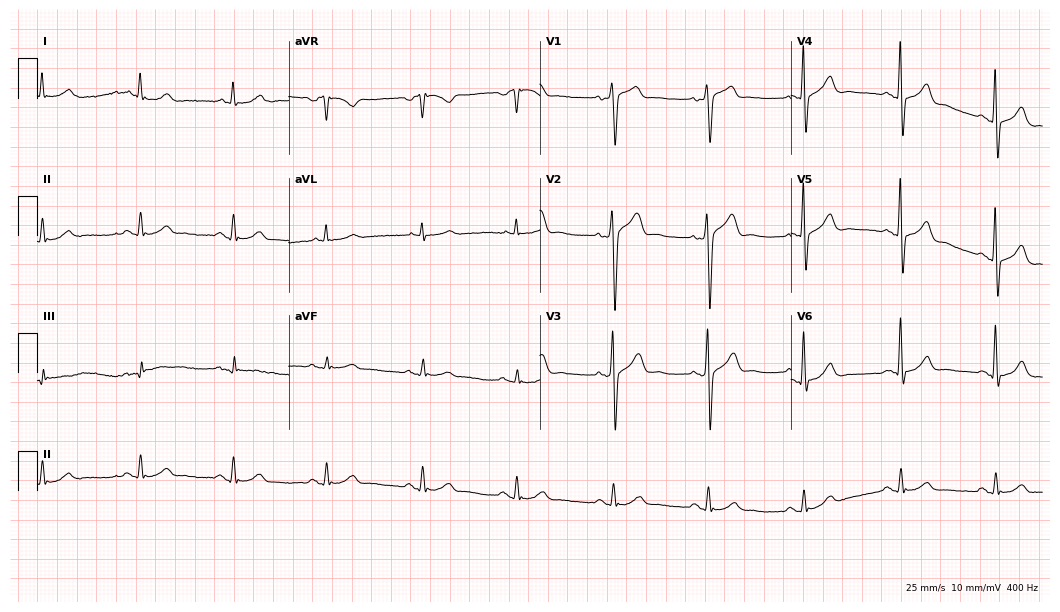
Resting 12-lead electrocardiogram (10.2-second recording at 400 Hz). Patient: a male, 60 years old. Read as a normal ECG.